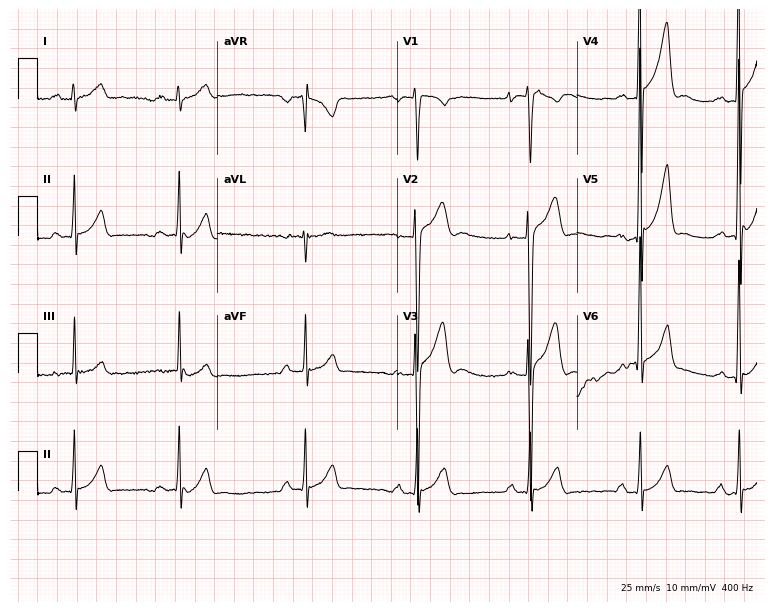
Electrocardiogram (7.3-second recording at 400 Hz), a 22-year-old male patient. Of the six screened findings (first-degree AV block, right bundle branch block, left bundle branch block, sinus bradycardia, atrial fibrillation, sinus tachycardia), none is recorded. Only these six findings were labelled.